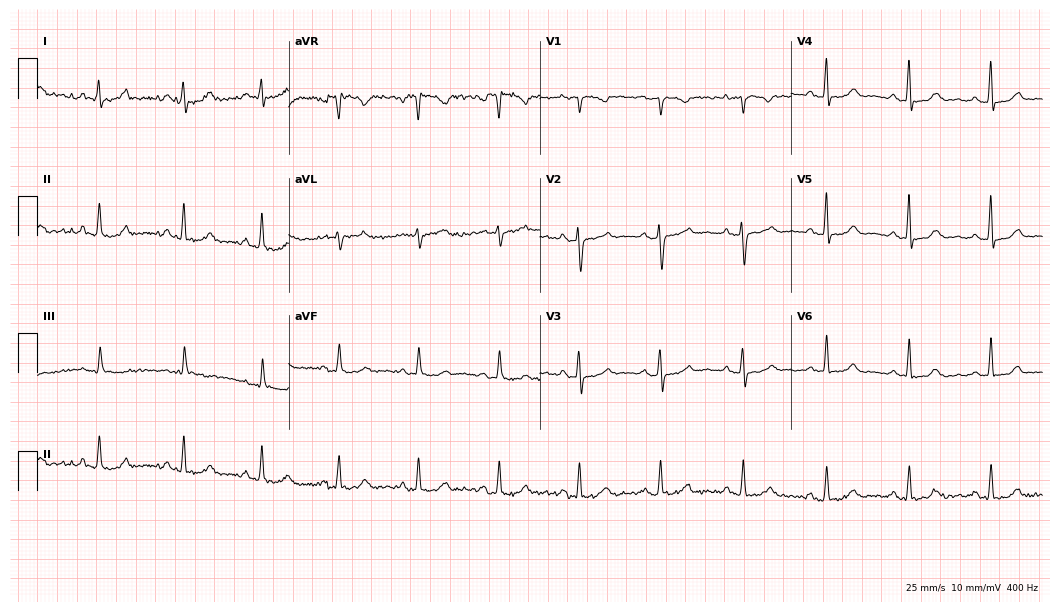
12-lead ECG (10.2-second recording at 400 Hz) from a 49-year-old female patient. Labelled as a normal ECG.